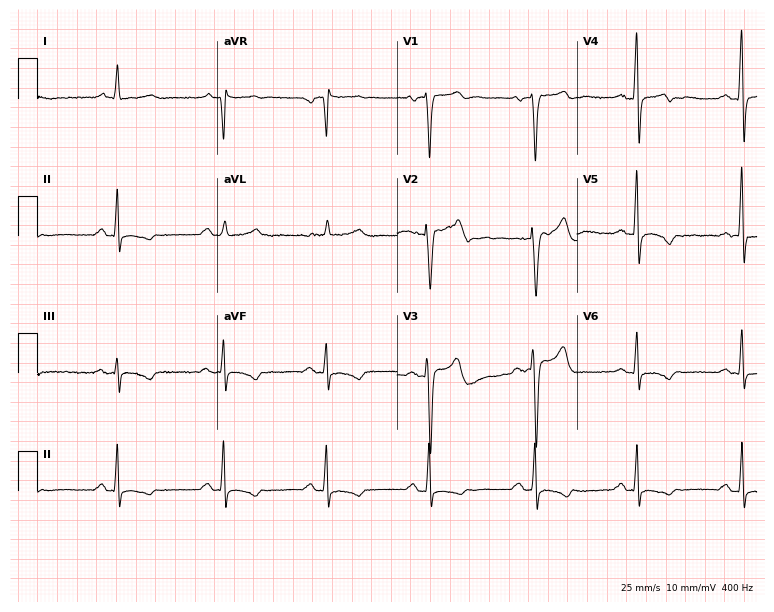
12-lead ECG (7.3-second recording at 400 Hz) from a 36-year-old male patient. Screened for six findings — first-degree AV block, right bundle branch block, left bundle branch block, sinus bradycardia, atrial fibrillation, sinus tachycardia — none is recorded. Only these six findings were labelled.